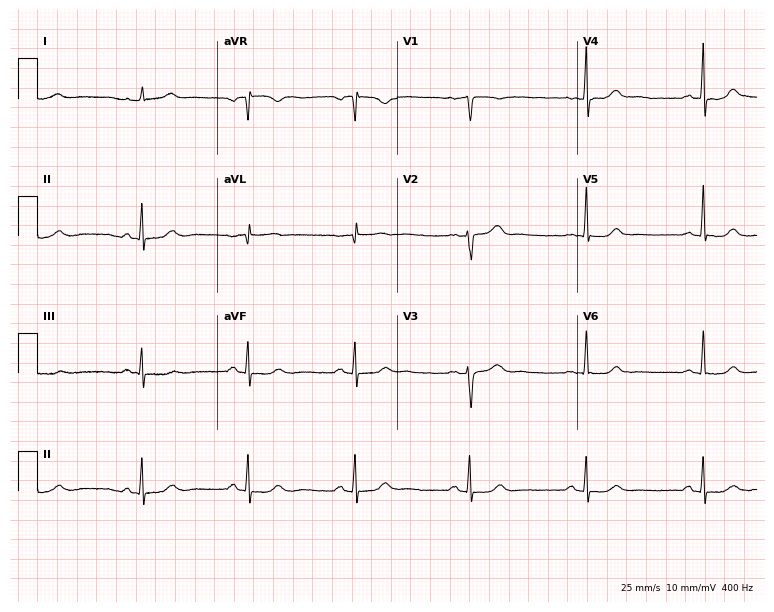
12-lead ECG from a 59-year-old female patient (7.3-second recording at 400 Hz). No first-degree AV block, right bundle branch block, left bundle branch block, sinus bradycardia, atrial fibrillation or sinus tachycardia recorded for this tracing. Other findings, if any, are not listed.